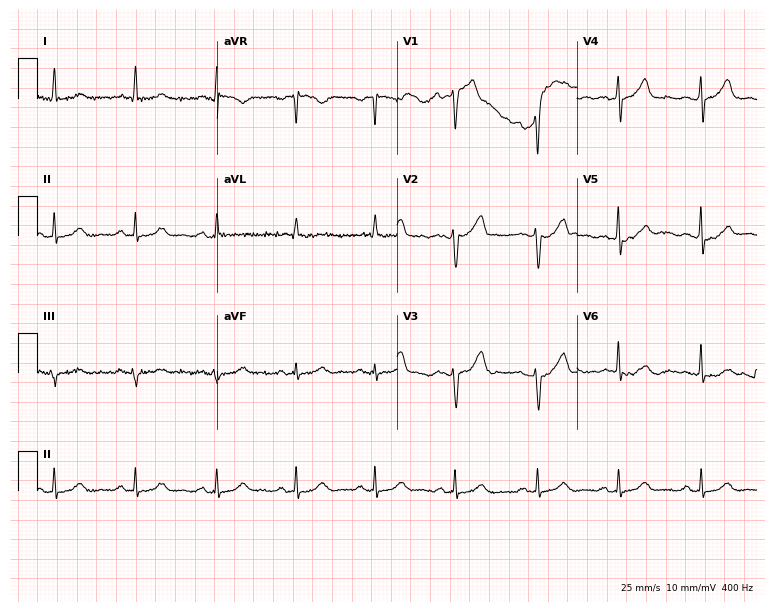
Standard 12-lead ECG recorded from a female, 61 years old (7.3-second recording at 400 Hz). None of these six findings is recorded: first-degree AV block, right bundle branch block, left bundle branch block, sinus bradycardia, atrial fibrillation, sinus tachycardia.